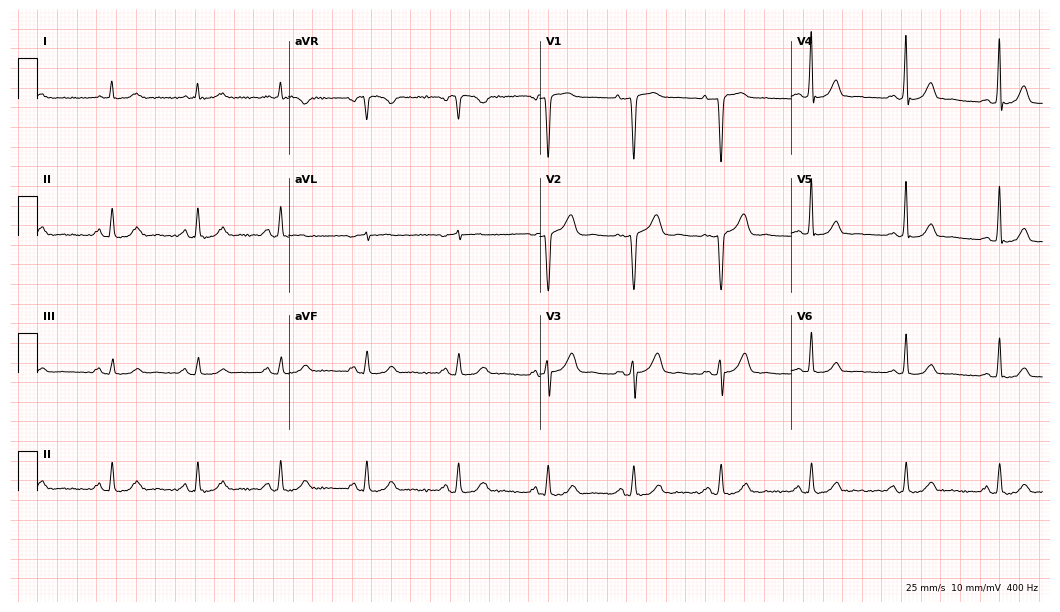
Resting 12-lead electrocardiogram (10.2-second recording at 400 Hz). Patient: a 49-year-old female. None of these six findings is recorded: first-degree AV block, right bundle branch block, left bundle branch block, sinus bradycardia, atrial fibrillation, sinus tachycardia. Findings outside these six are not listed.